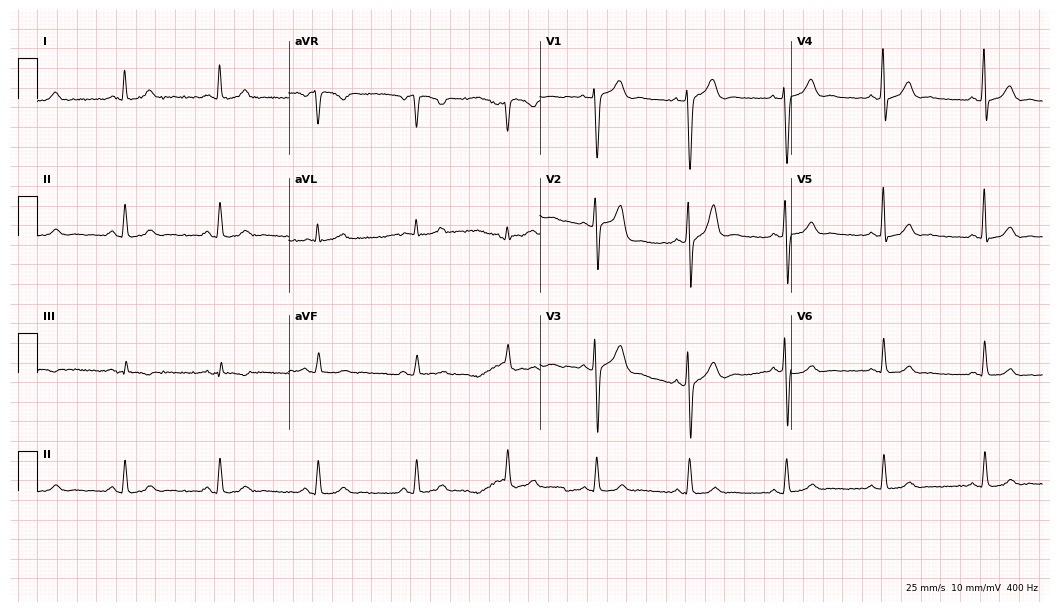
12-lead ECG (10.2-second recording at 400 Hz) from a 47-year-old male patient. Labelled as a normal ECG.